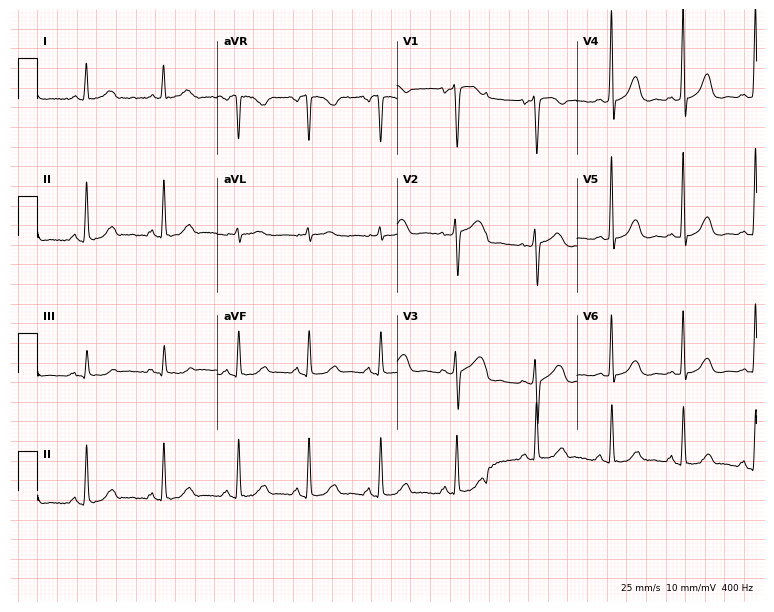
12-lead ECG from a 44-year-old woman (7.3-second recording at 400 Hz). No first-degree AV block, right bundle branch block (RBBB), left bundle branch block (LBBB), sinus bradycardia, atrial fibrillation (AF) or sinus tachycardia recorded for this tracing. Findings outside these six are not listed.